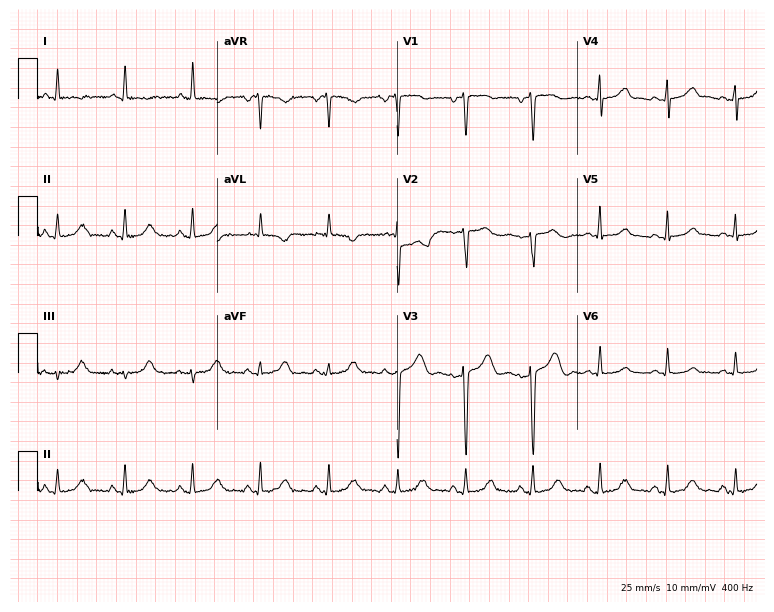
12-lead ECG from a 67-year-old female (7.3-second recording at 400 Hz). No first-degree AV block, right bundle branch block (RBBB), left bundle branch block (LBBB), sinus bradycardia, atrial fibrillation (AF) or sinus tachycardia recorded for this tracing. Only these six findings were labelled.